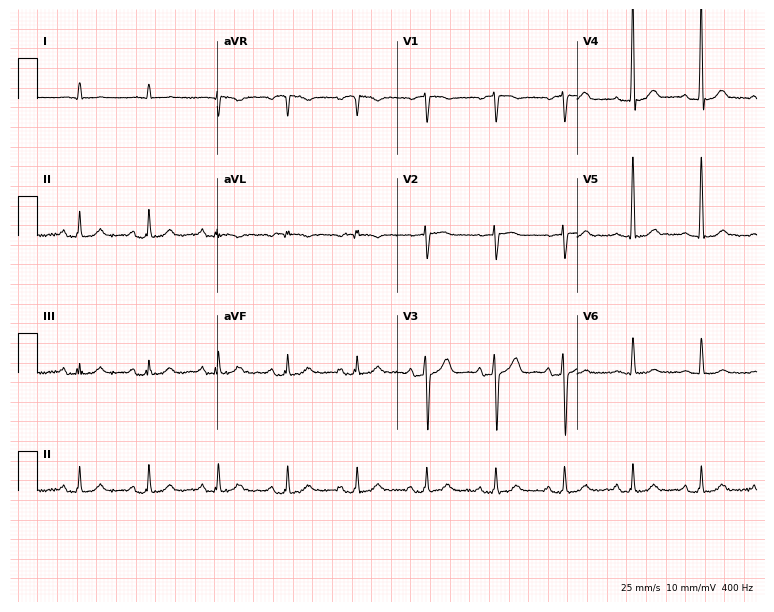
Electrocardiogram, a male patient, 76 years old. Of the six screened findings (first-degree AV block, right bundle branch block (RBBB), left bundle branch block (LBBB), sinus bradycardia, atrial fibrillation (AF), sinus tachycardia), none is recorded. Only these six findings were labelled.